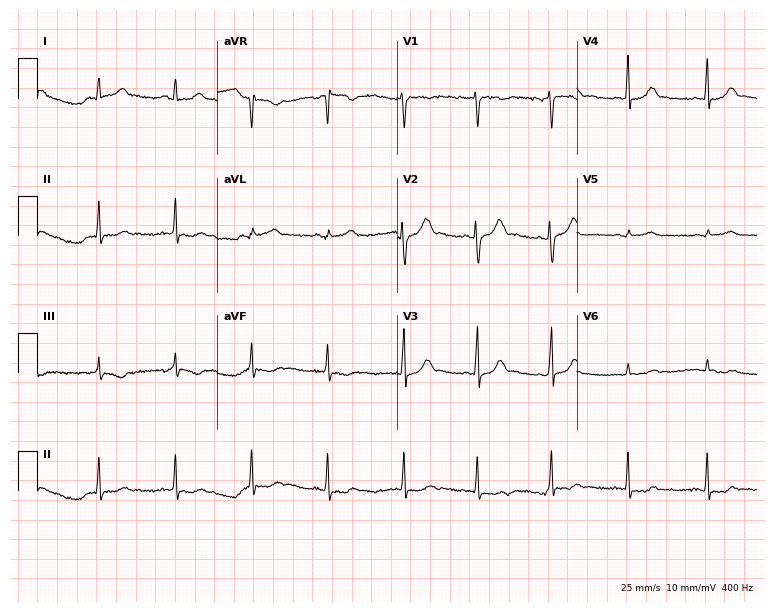
Standard 12-lead ECG recorded from a woman, 23 years old. None of these six findings is recorded: first-degree AV block, right bundle branch block (RBBB), left bundle branch block (LBBB), sinus bradycardia, atrial fibrillation (AF), sinus tachycardia. Other findings, if any, are not listed.